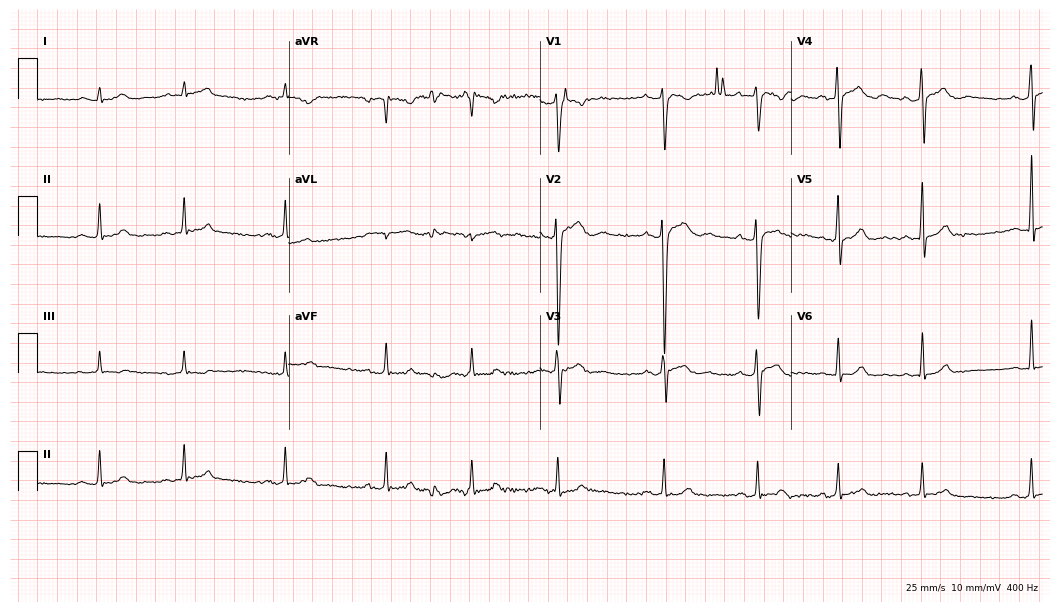
Standard 12-lead ECG recorded from a 17-year-old male patient (10.2-second recording at 400 Hz). Read as a normal ECG.